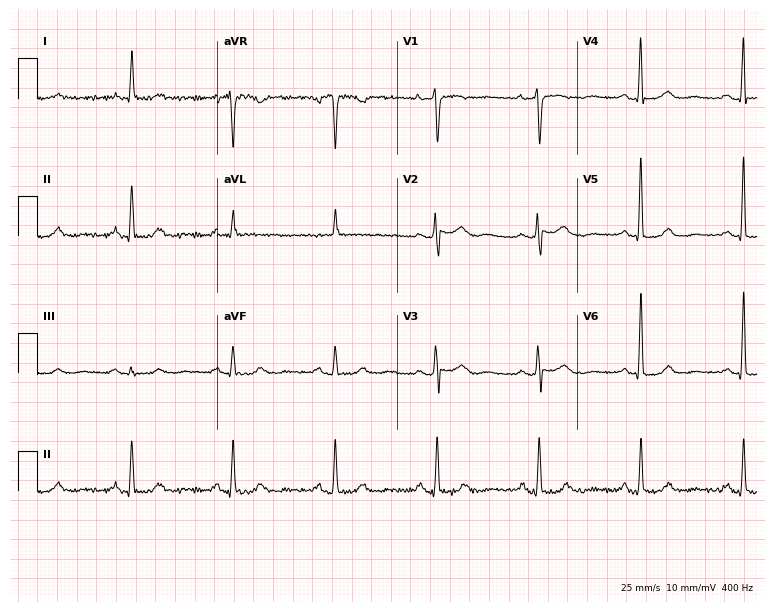
12-lead ECG from a female, 62 years old. No first-degree AV block, right bundle branch block (RBBB), left bundle branch block (LBBB), sinus bradycardia, atrial fibrillation (AF) or sinus tachycardia recorded for this tracing. Findings outside these six are not listed.